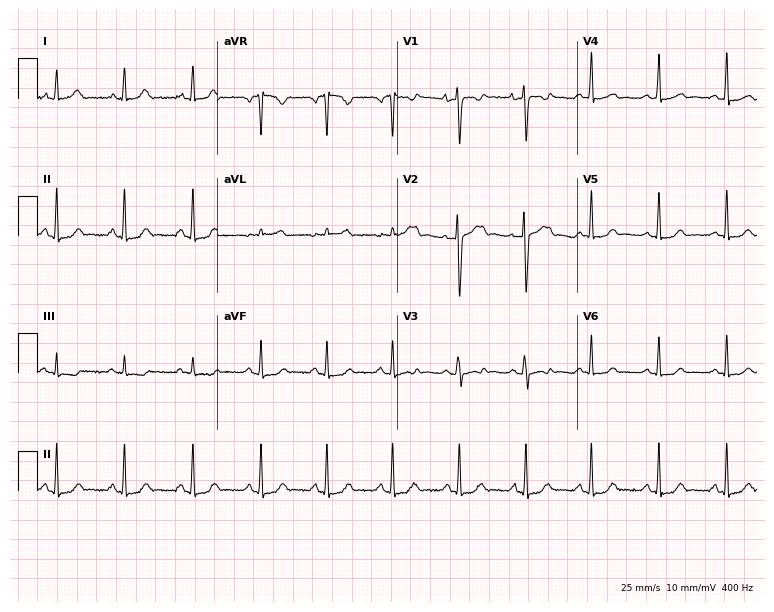
Resting 12-lead electrocardiogram (7.3-second recording at 400 Hz). Patient: a 25-year-old female. None of these six findings is recorded: first-degree AV block, right bundle branch block, left bundle branch block, sinus bradycardia, atrial fibrillation, sinus tachycardia.